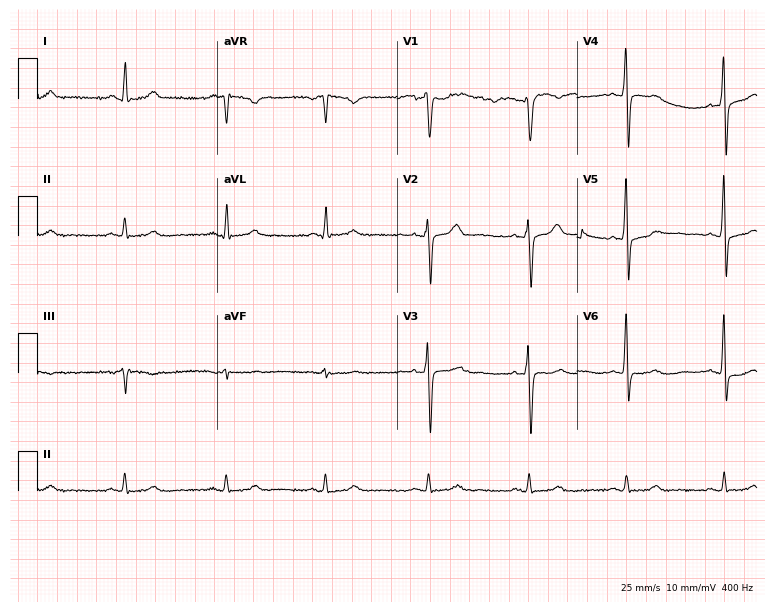
Resting 12-lead electrocardiogram (7.3-second recording at 400 Hz). Patient: a 62-year-old male. None of these six findings is recorded: first-degree AV block, right bundle branch block, left bundle branch block, sinus bradycardia, atrial fibrillation, sinus tachycardia. Other findings, if any, are not listed.